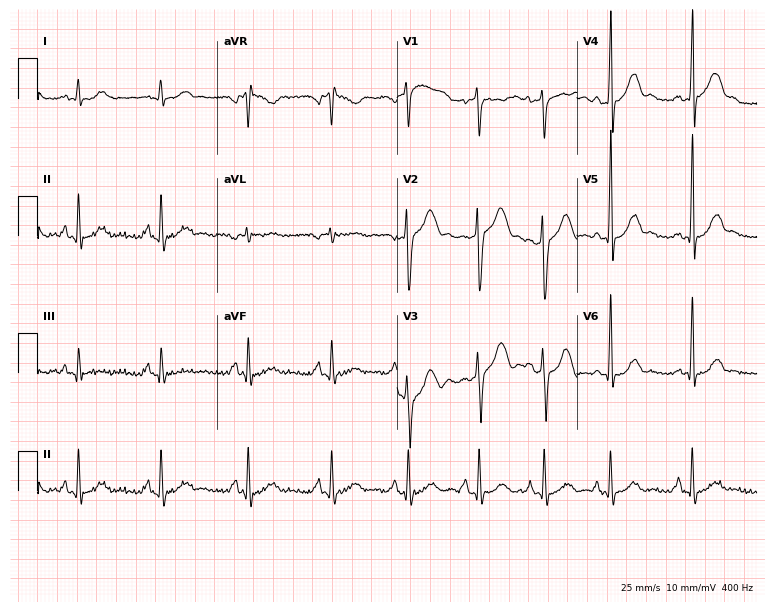
Resting 12-lead electrocardiogram. Patient: a male, 33 years old. Read as a normal ECG.